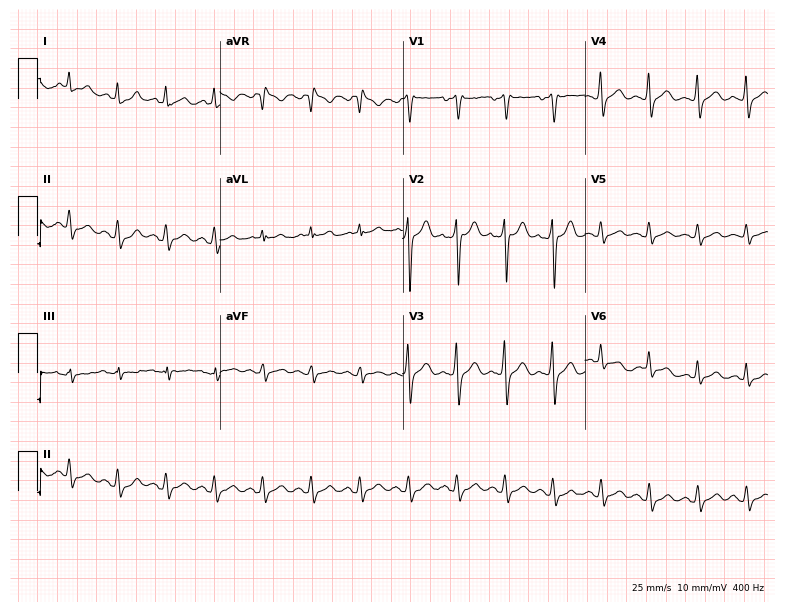
ECG (7.4-second recording at 400 Hz) — a male, 33 years old. Findings include sinus tachycardia (a sinus rate of 100 beats per minute or more).